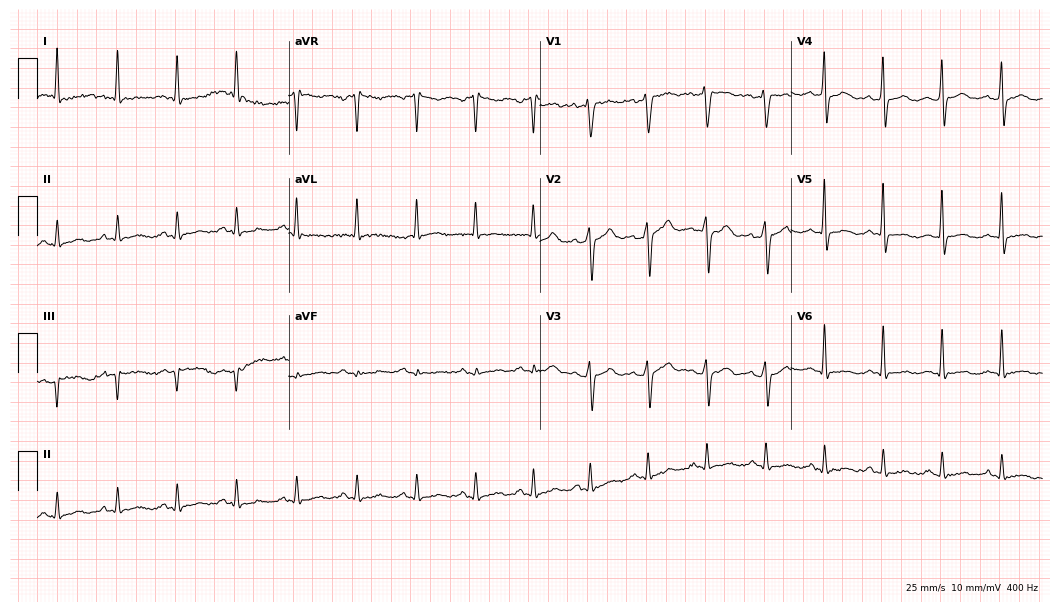
Resting 12-lead electrocardiogram (10.2-second recording at 400 Hz). Patient: a 40-year-old man. None of these six findings is recorded: first-degree AV block, right bundle branch block, left bundle branch block, sinus bradycardia, atrial fibrillation, sinus tachycardia.